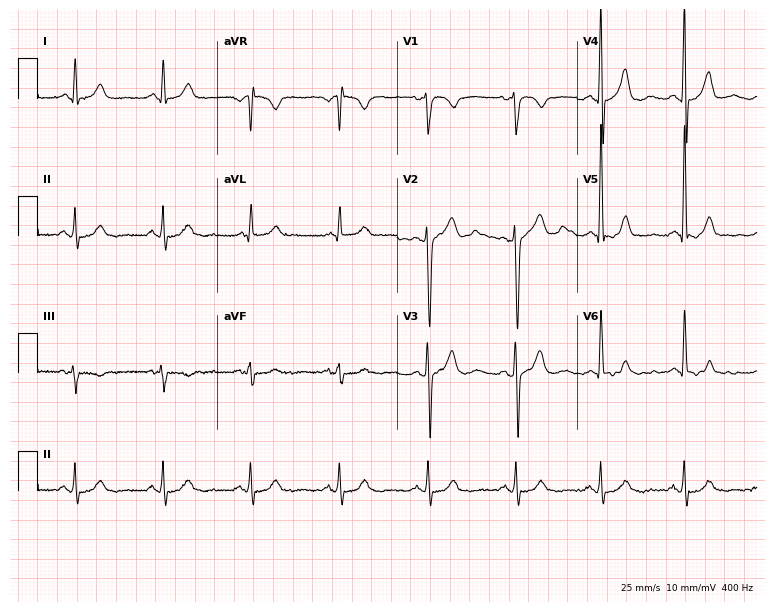
Standard 12-lead ECG recorded from a 55-year-old man. Read as a normal ECG.